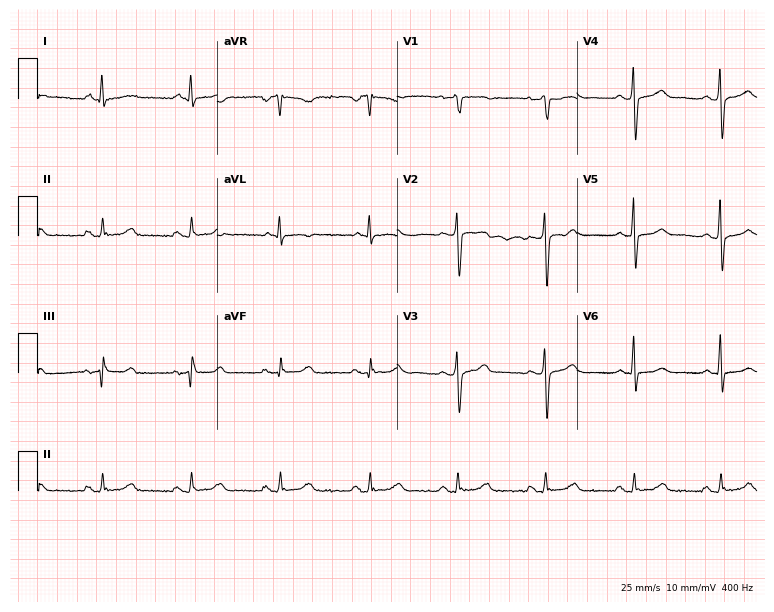
Electrocardiogram (7.3-second recording at 400 Hz), a female patient, 52 years old. Of the six screened findings (first-degree AV block, right bundle branch block (RBBB), left bundle branch block (LBBB), sinus bradycardia, atrial fibrillation (AF), sinus tachycardia), none is recorded. Findings outside these six are not listed.